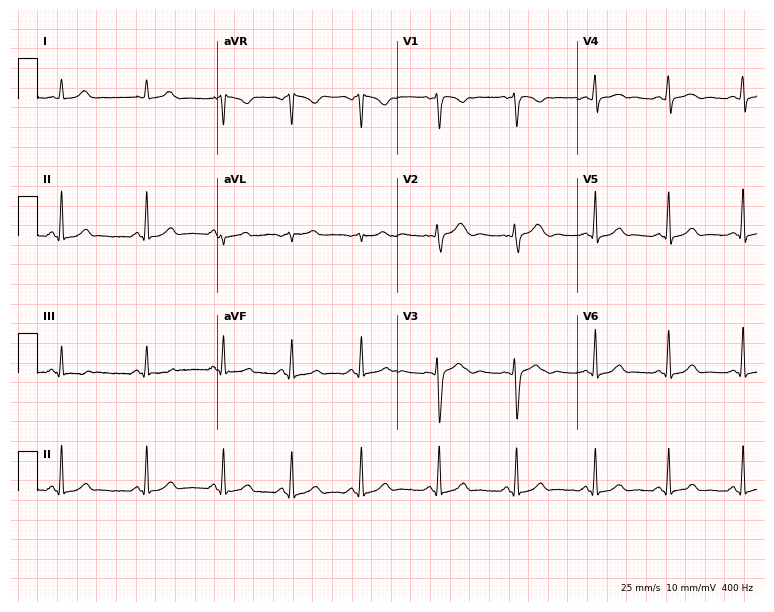
Standard 12-lead ECG recorded from a woman, 32 years old. Read as a normal ECG.